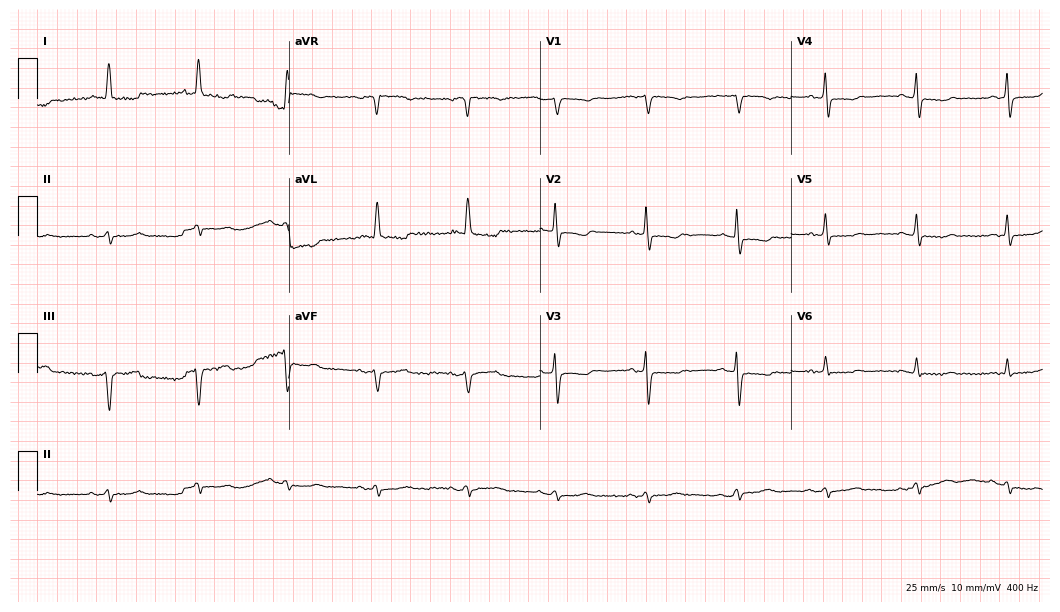
12-lead ECG from a 78-year-old female patient (10.2-second recording at 400 Hz). No first-degree AV block, right bundle branch block (RBBB), left bundle branch block (LBBB), sinus bradycardia, atrial fibrillation (AF) or sinus tachycardia recorded for this tracing. Other findings, if any, are not listed.